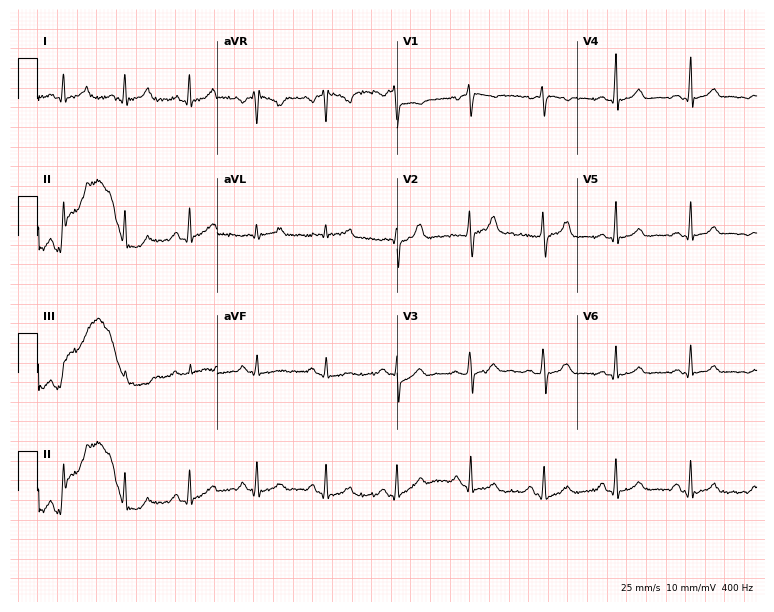
12-lead ECG from a 36-year-old female. Recorded interpretation: within normal limits.